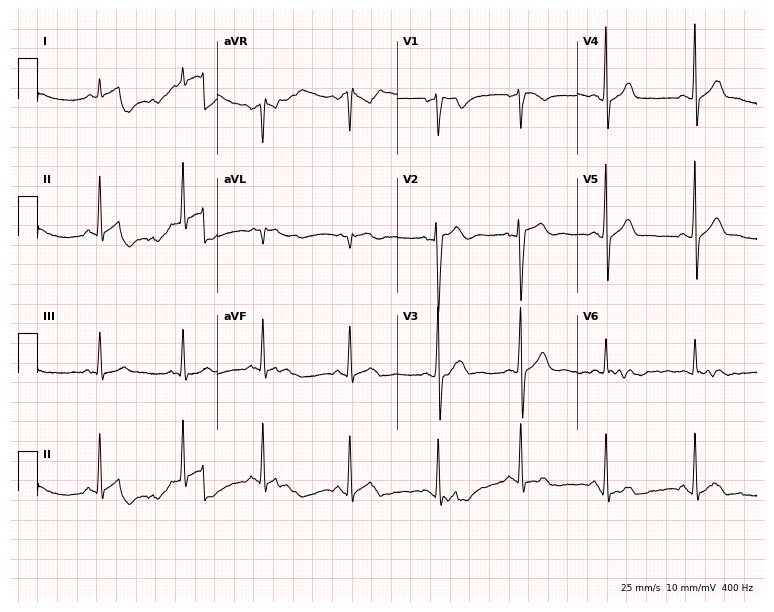
12-lead ECG from a man, 35 years old (7.3-second recording at 400 Hz). No first-degree AV block, right bundle branch block, left bundle branch block, sinus bradycardia, atrial fibrillation or sinus tachycardia recorded for this tracing. Findings outside these six are not listed.